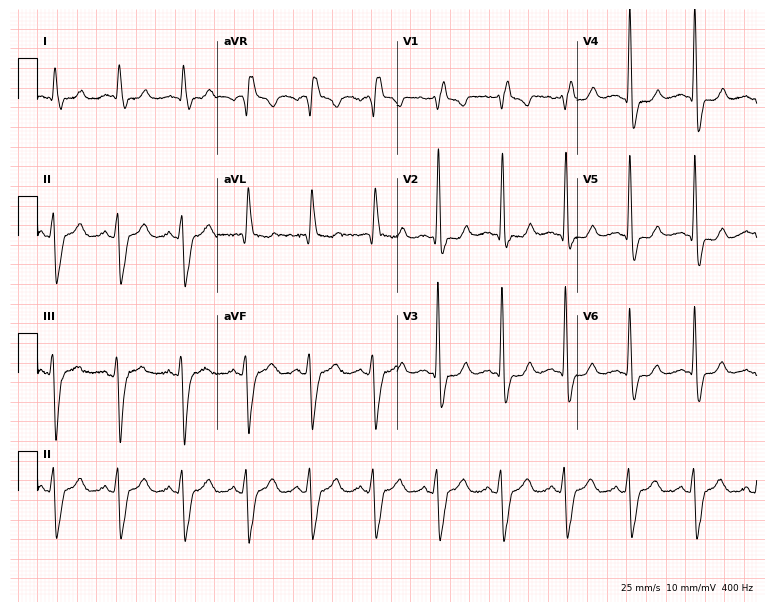
Standard 12-lead ECG recorded from a man, 78 years old (7.3-second recording at 400 Hz). The tracing shows right bundle branch block.